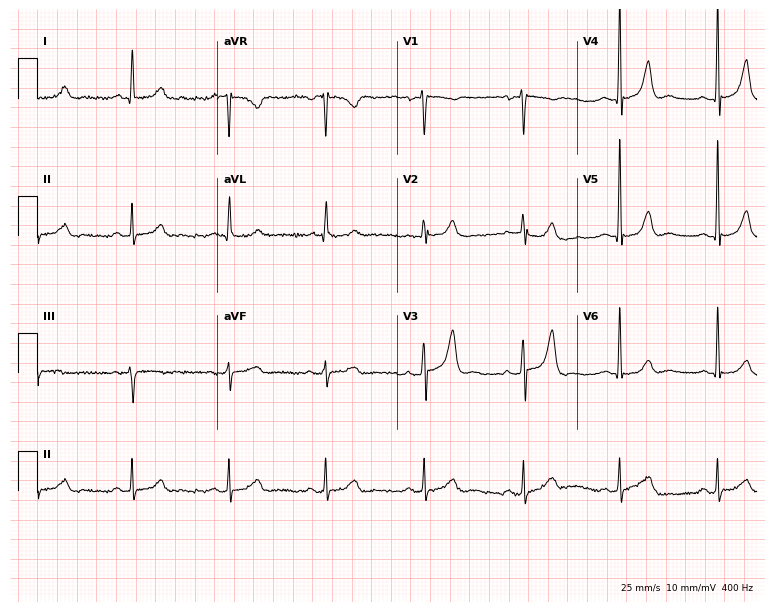
12-lead ECG from a man, 72 years old. Labelled as a normal ECG.